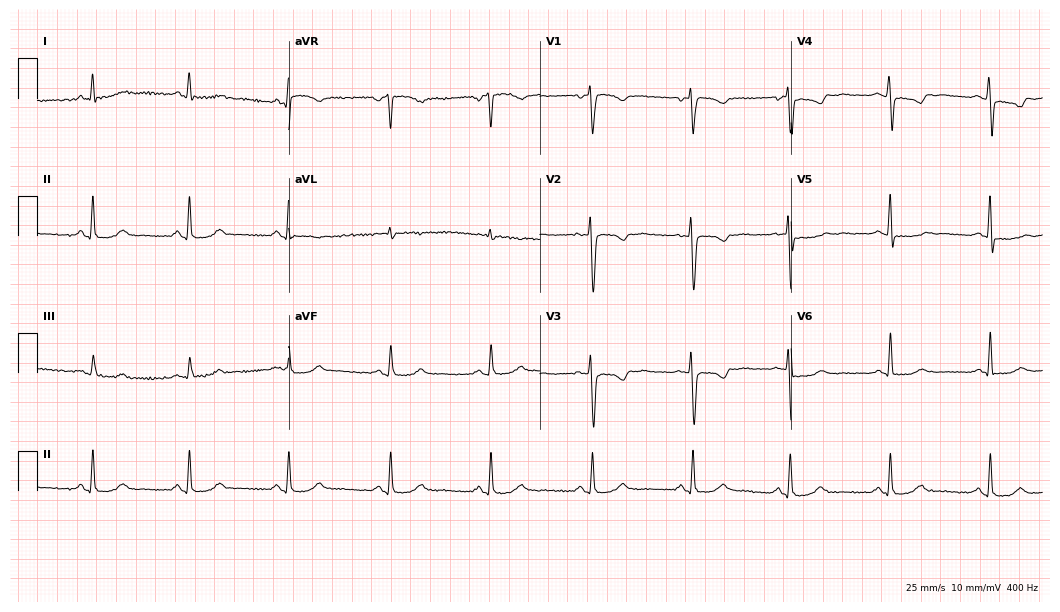
Resting 12-lead electrocardiogram. Patient: a female, 49 years old. Read as a normal ECG.